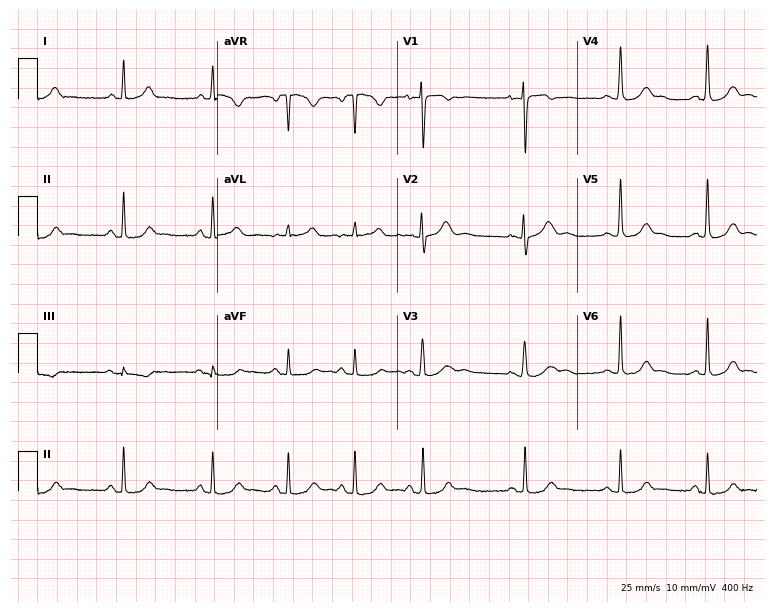
Electrocardiogram, a 33-year-old female. Overall reading on record: normal ECG.